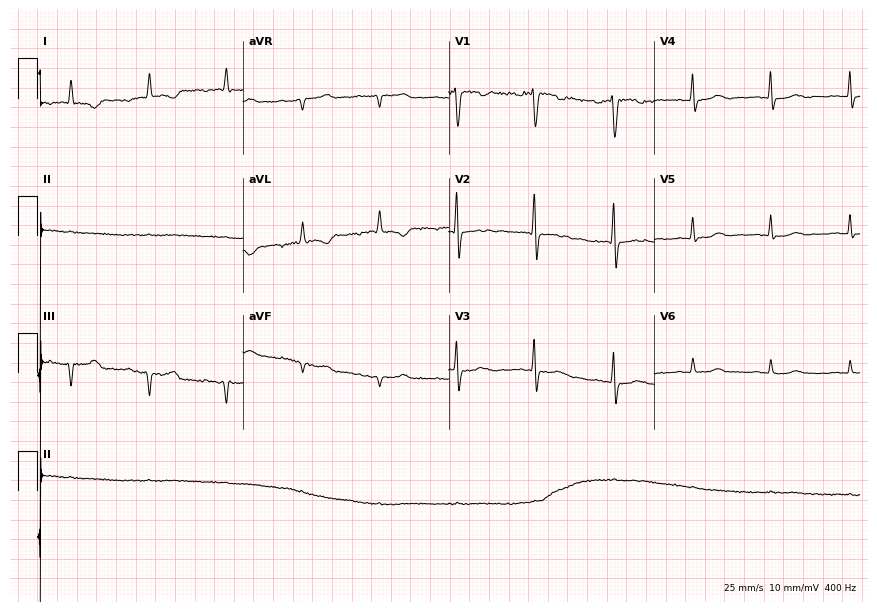
12-lead ECG from a woman, 74 years old. Screened for six findings — first-degree AV block, right bundle branch block, left bundle branch block, sinus bradycardia, atrial fibrillation, sinus tachycardia — none is recorded. Only these six findings were labelled.